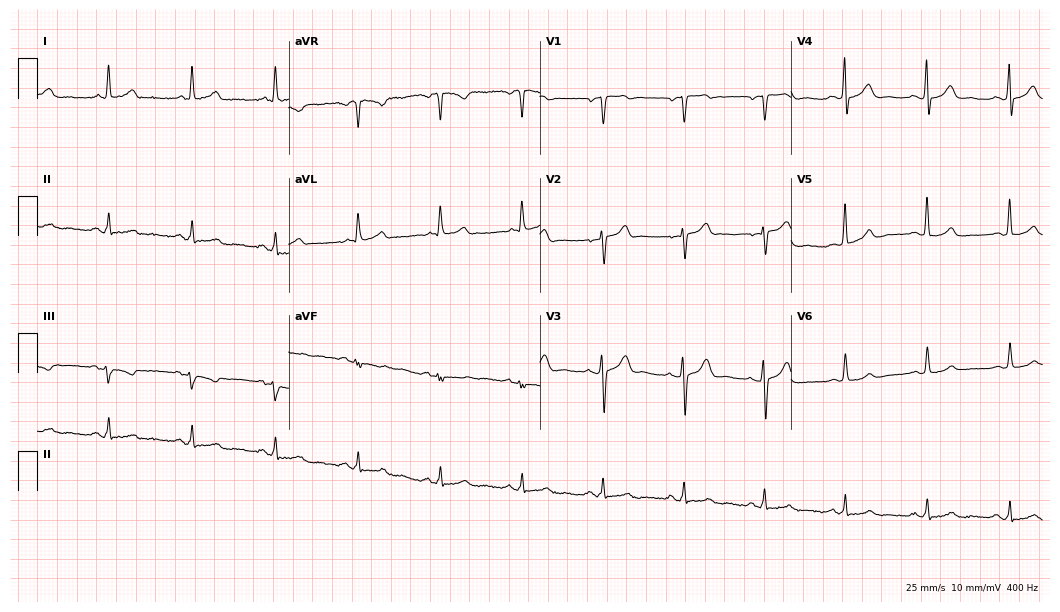
Standard 12-lead ECG recorded from a 63-year-old man. None of these six findings is recorded: first-degree AV block, right bundle branch block (RBBB), left bundle branch block (LBBB), sinus bradycardia, atrial fibrillation (AF), sinus tachycardia.